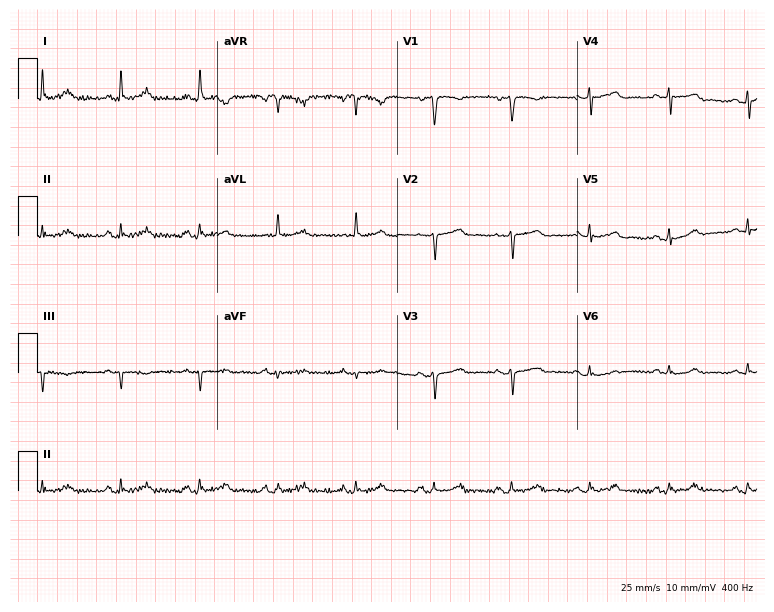
12-lead ECG from a 58-year-old female patient. Recorded interpretation: within normal limits.